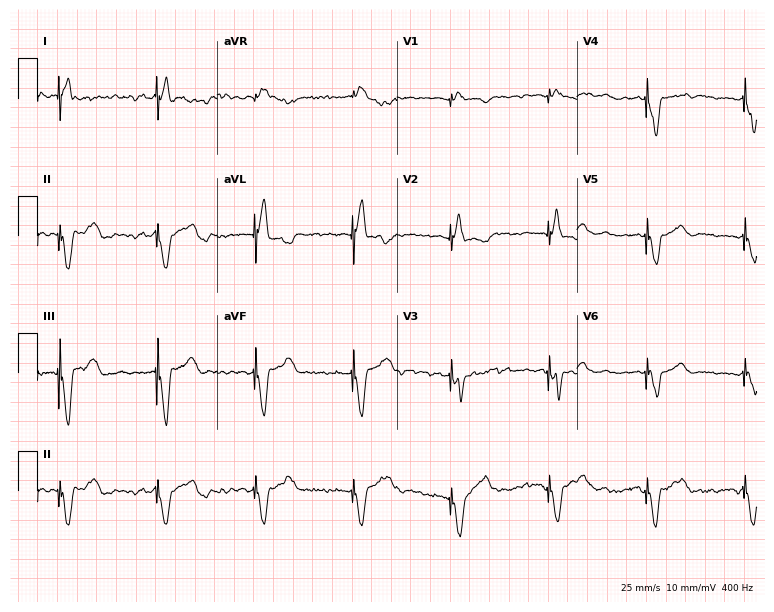
Electrocardiogram, a female patient, 85 years old. Of the six screened findings (first-degree AV block, right bundle branch block (RBBB), left bundle branch block (LBBB), sinus bradycardia, atrial fibrillation (AF), sinus tachycardia), none is recorded.